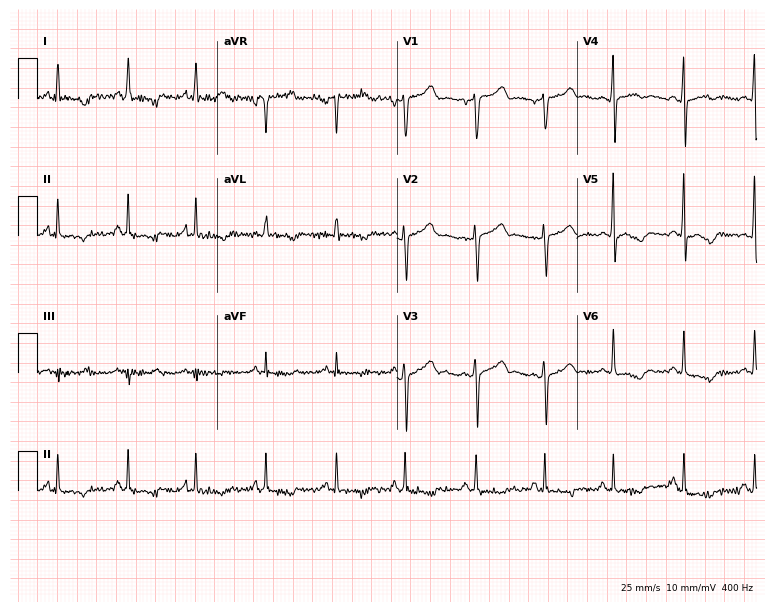
12-lead ECG from a 45-year-old man. Screened for six findings — first-degree AV block, right bundle branch block, left bundle branch block, sinus bradycardia, atrial fibrillation, sinus tachycardia — none is recorded. Only these six findings were labelled.